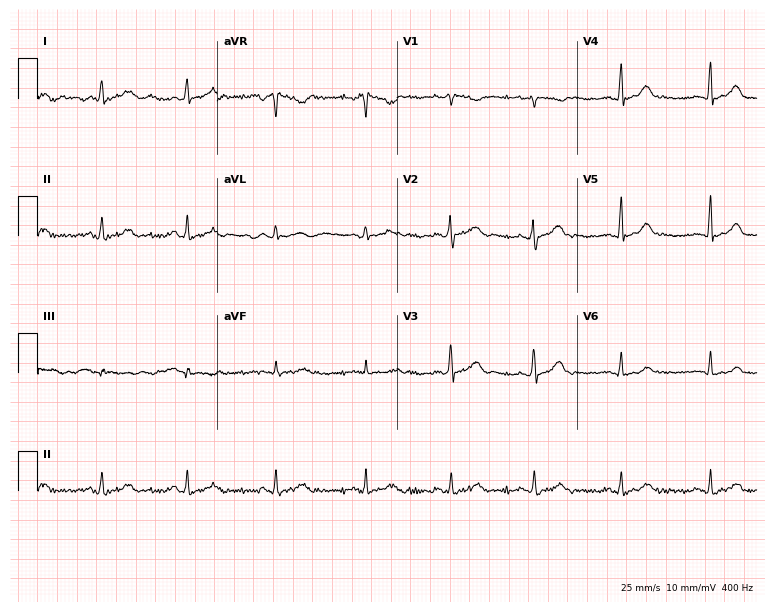
12-lead ECG from a woman, 32 years old. Labelled as a normal ECG.